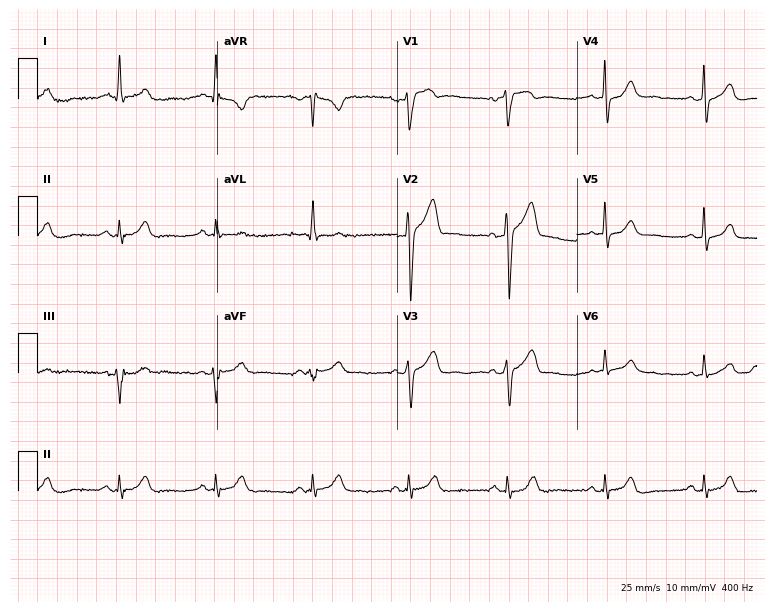
Resting 12-lead electrocardiogram. Patient: a male, 74 years old. Read as a normal ECG.